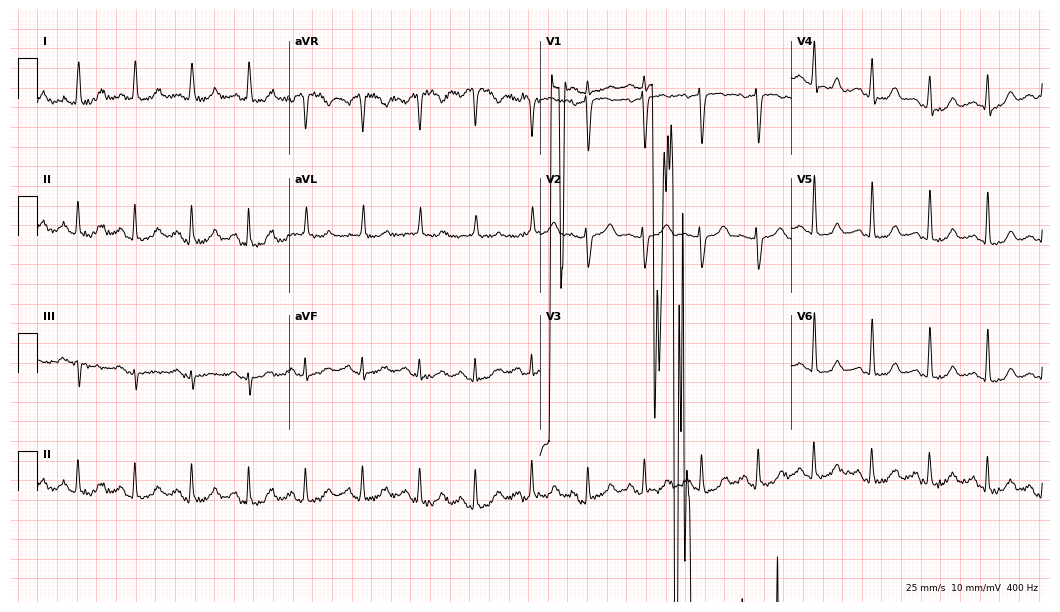
12-lead ECG from a male patient, 69 years old (10.2-second recording at 400 Hz). No first-degree AV block, right bundle branch block, left bundle branch block, sinus bradycardia, atrial fibrillation or sinus tachycardia recorded for this tracing.